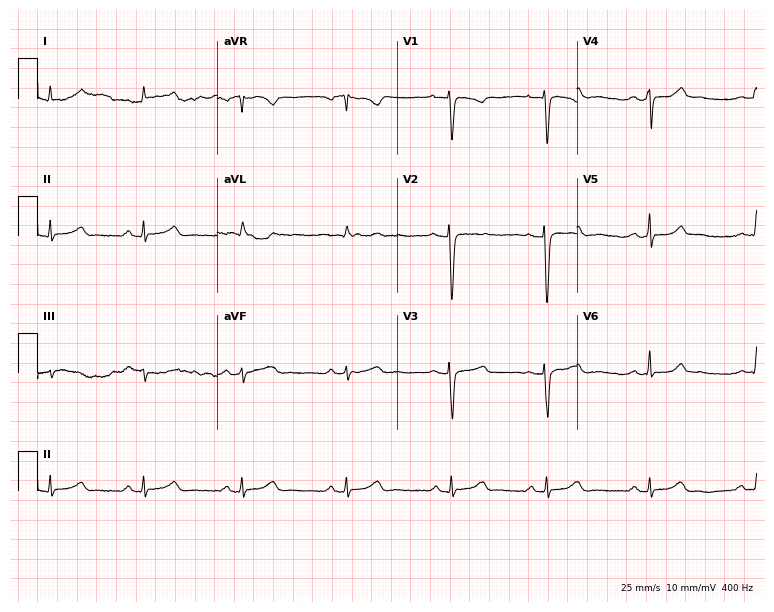
Resting 12-lead electrocardiogram (7.3-second recording at 400 Hz). Patient: a female, 35 years old. Read as a normal ECG.